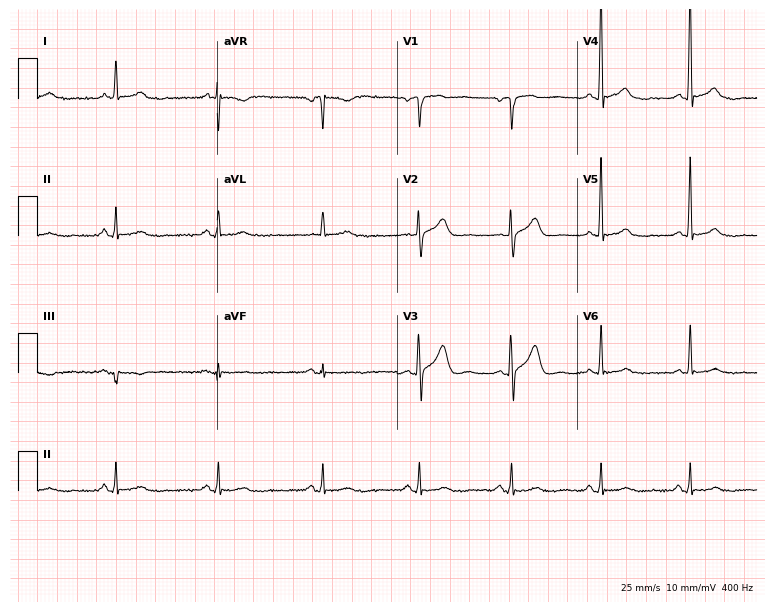
12-lead ECG (7.3-second recording at 400 Hz) from a 68-year-old male patient. Screened for six findings — first-degree AV block, right bundle branch block, left bundle branch block, sinus bradycardia, atrial fibrillation, sinus tachycardia — none is recorded. Other findings, if any, are not listed.